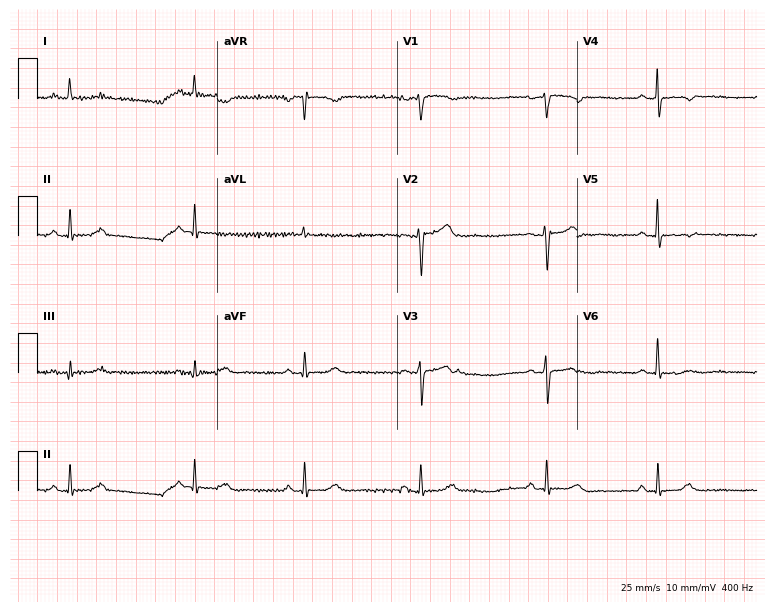
12-lead ECG from a 41-year-old female patient. Screened for six findings — first-degree AV block, right bundle branch block, left bundle branch block, sinus bradycardia, atrial fibrillation, sinus tachycardia — none is recorded. Other findings, if any, are not listed.